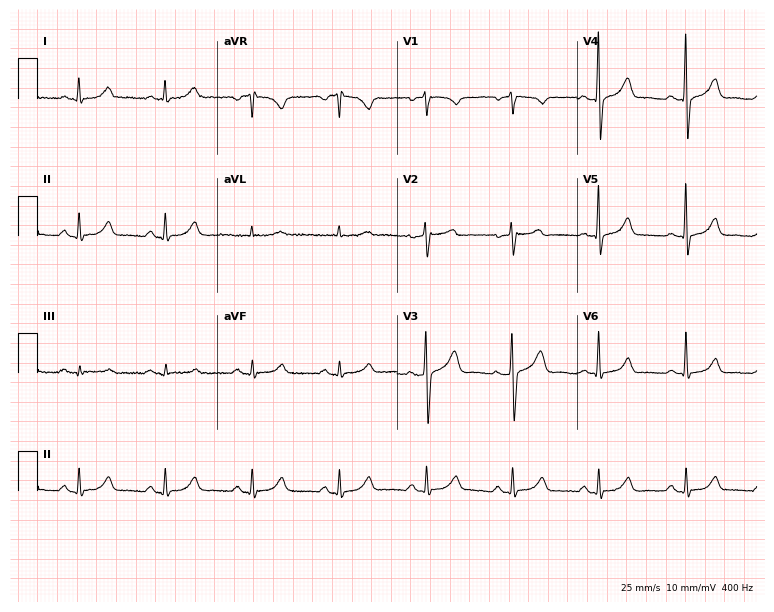
12-lead ECG from a 64-year-old man. Recorded interpretation: within normal limits.